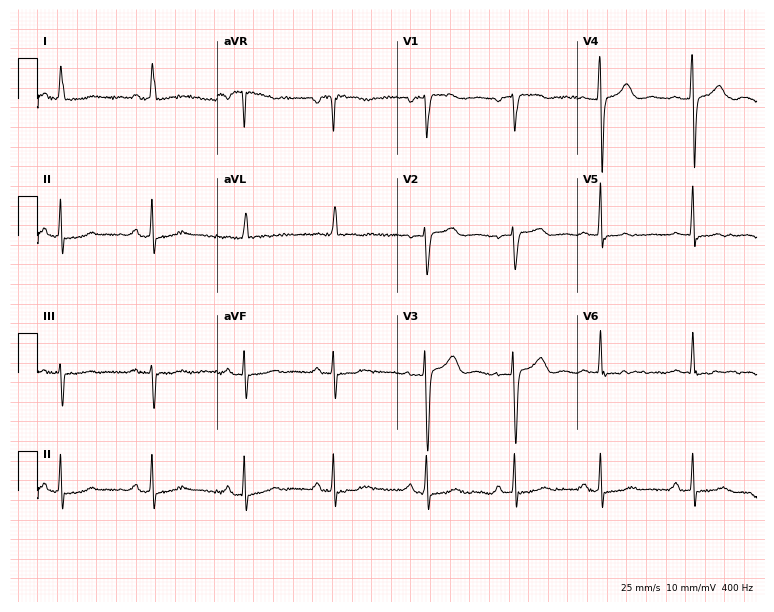
Resting 12-lead electrocardiogram. Patient: a woman, 58 years old. Read as a normal ECG.